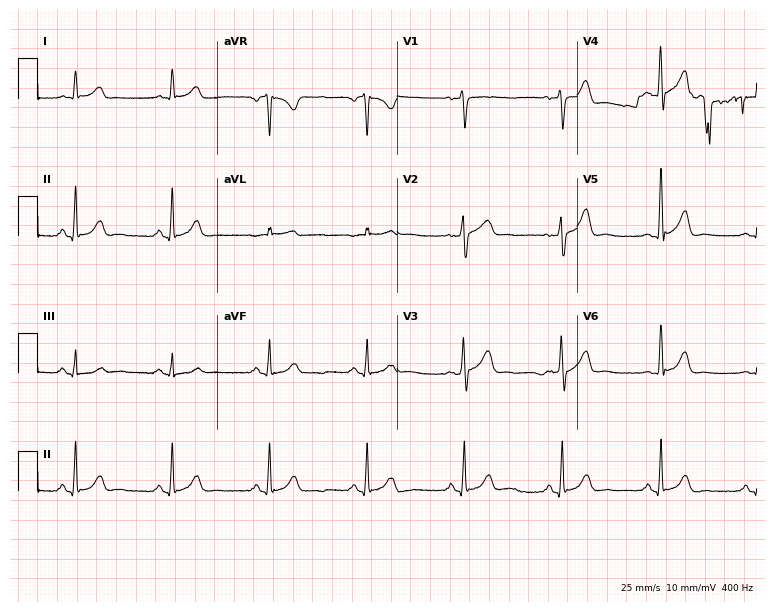
Electrocardiogram (7.3-second recording at 400 Hz), a male patient, 63 years old. Overall reading on record: normal ECG.